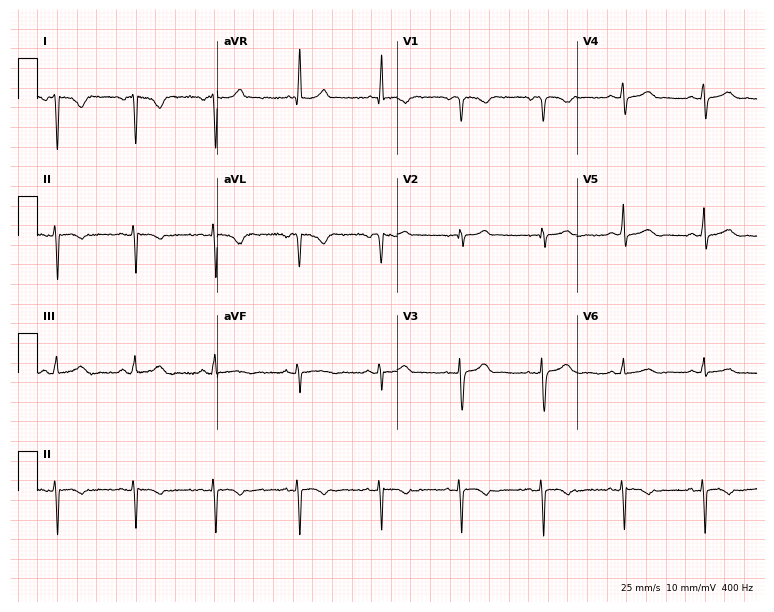
12-lead ECG from a 51-year-old female (7.3-second recording at 400 Hz). No first-degree AV block, right bundle branch block, left bundle branch block, sinus bradycardia, atrial fibrillation or sinus tachycardia recorded for this tracing. Other findings, if any, are not listed.